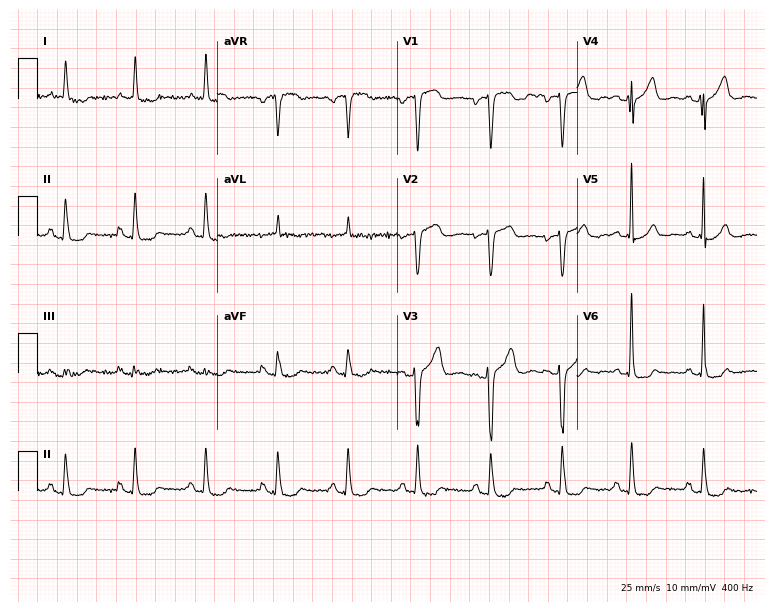
ECG (7.3-second recording at 400 Hz) — a 78-year-old woman. Screened for six findings — first-degree AV block, right bundle branch block, left bundle branch block, sinus bradycardia, atrial fibrillation, sinus tachycardia — none is recorded.